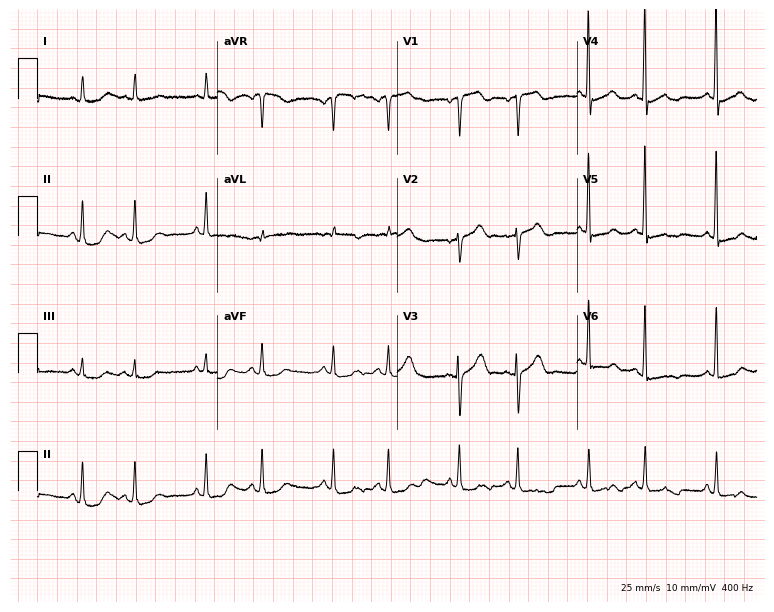
12-lead ECG (7.3-second recording at 400 Hz) from an 84-year-old male. Screened for six findings — first-degree AV block, right bundle branch block, left bundle branch block, sinus bradycardia, atrial fibrillation, sinus tachycardia — none is recorded.